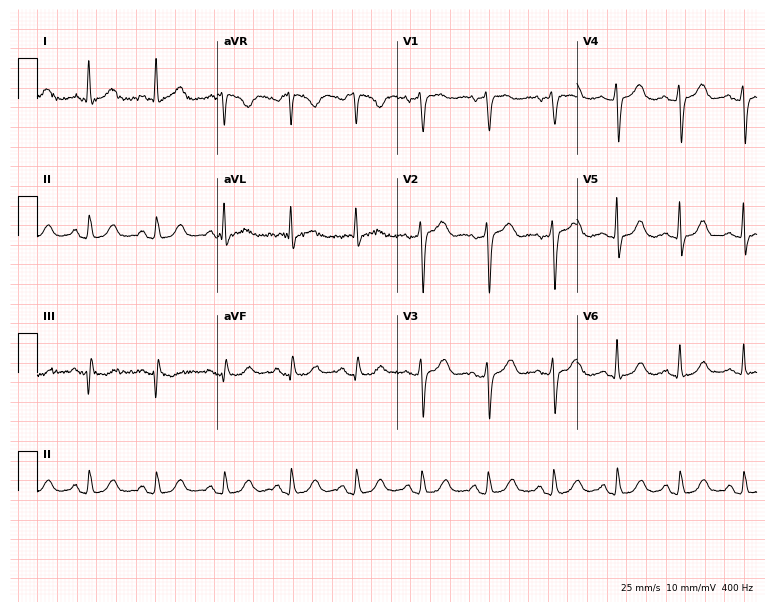
Resting 12-lead electrocardiogram (7.3-second recording at 400 Hz). Patient: a 68-year-old man. Read as a normal ECG.